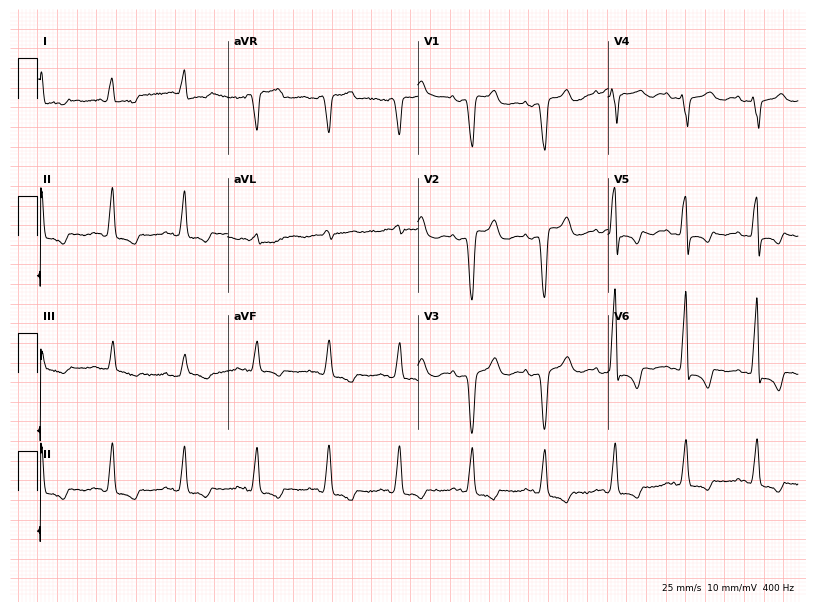
Standard 12-lead ECG recorded from an 80-year-old female patient. None of these six findings is recorded: first-degree AV block, right bundle branch block, left bundle branch block, sinus bradycardia, atrial fibrillation, sinus tachycardia.